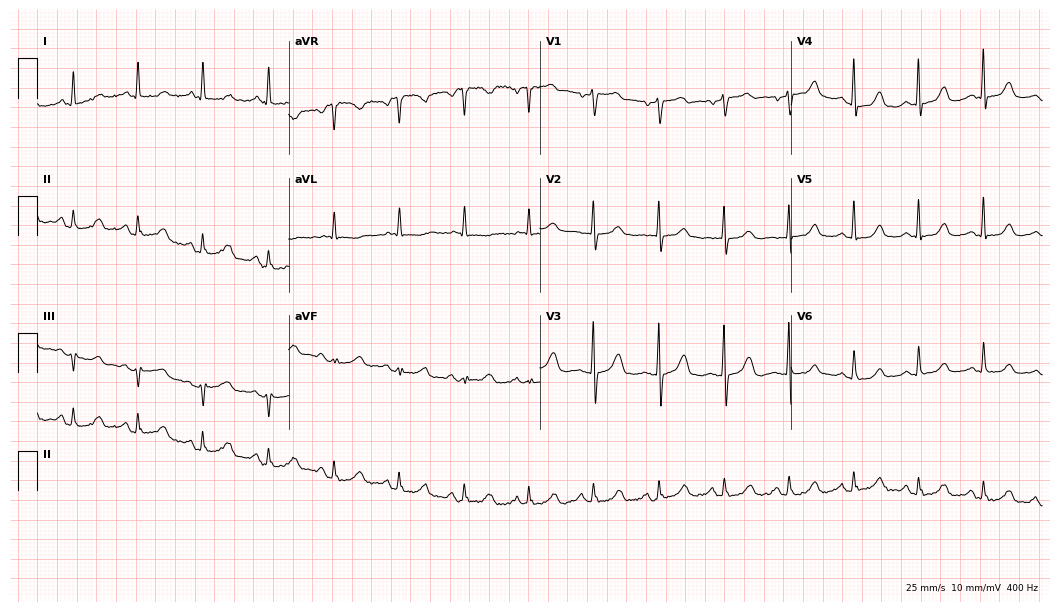
12-lead ECG from a female, 62 years old. Recorded interpretation: within normal limits.